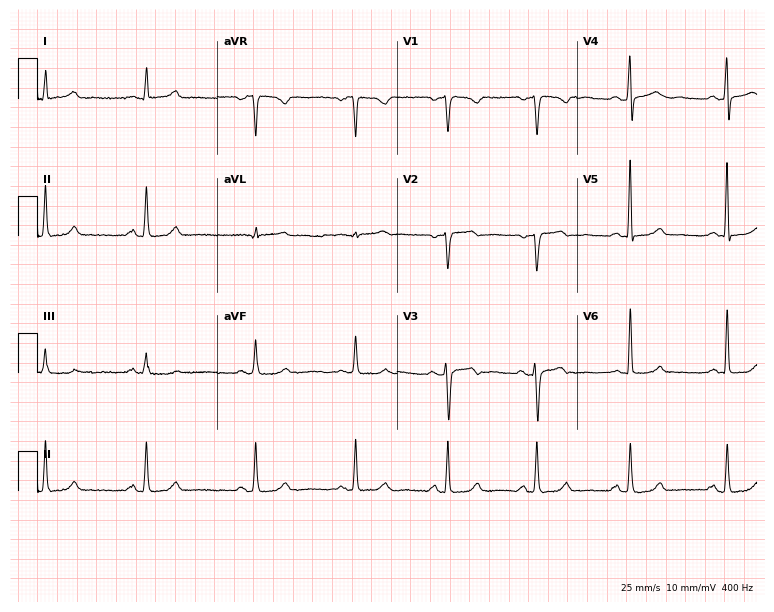
Resting 12-lead electrocardiogram. Patient: a 38-year-old female. Read as a normal ECG.